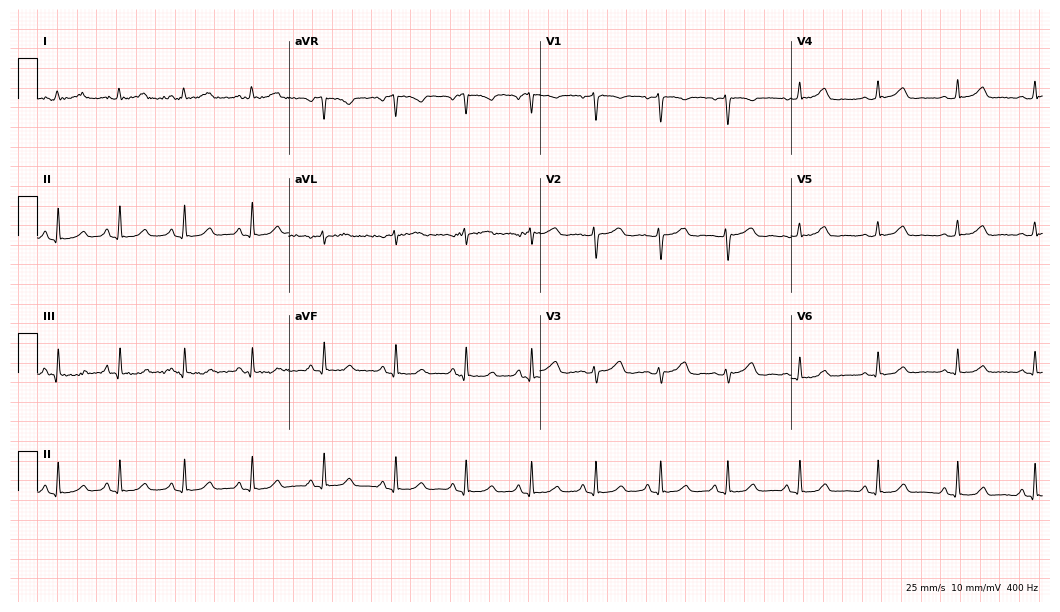
Electrocardiogram, a female patient, 32 years old. Overall reading on record: normal ECG.